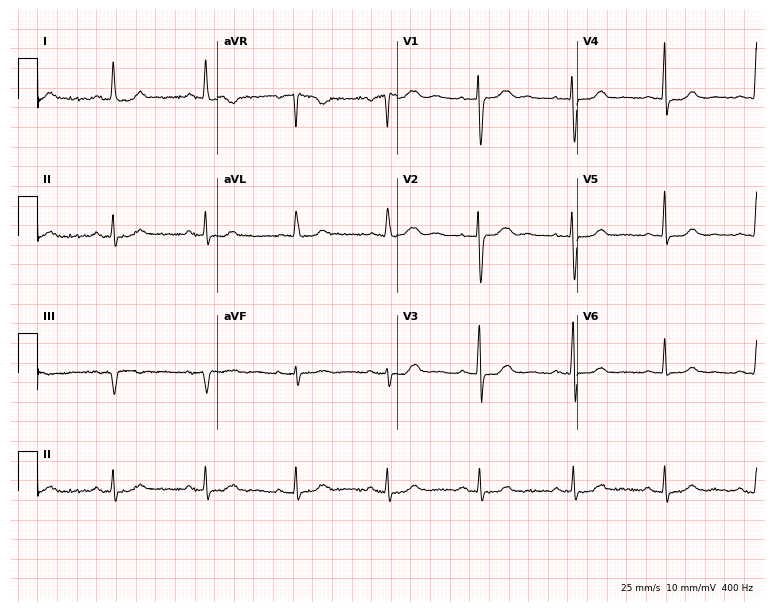
Standard 12-lead ECG recorded from a female patient, 61 years old. Read as a normal ECG.